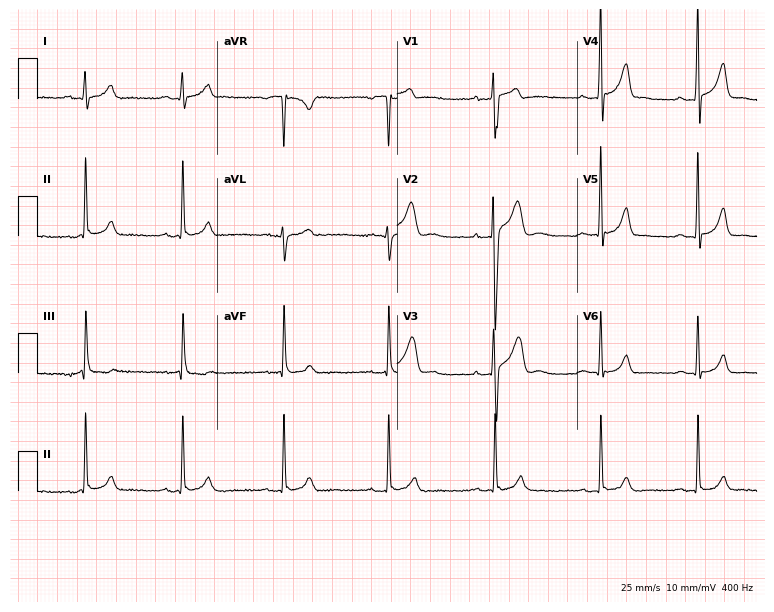
Resting 12-lead electrocardiogram (7.3-second recording at 400 Hz). Patient: a 20-year-old male. Read as a normal ECG.